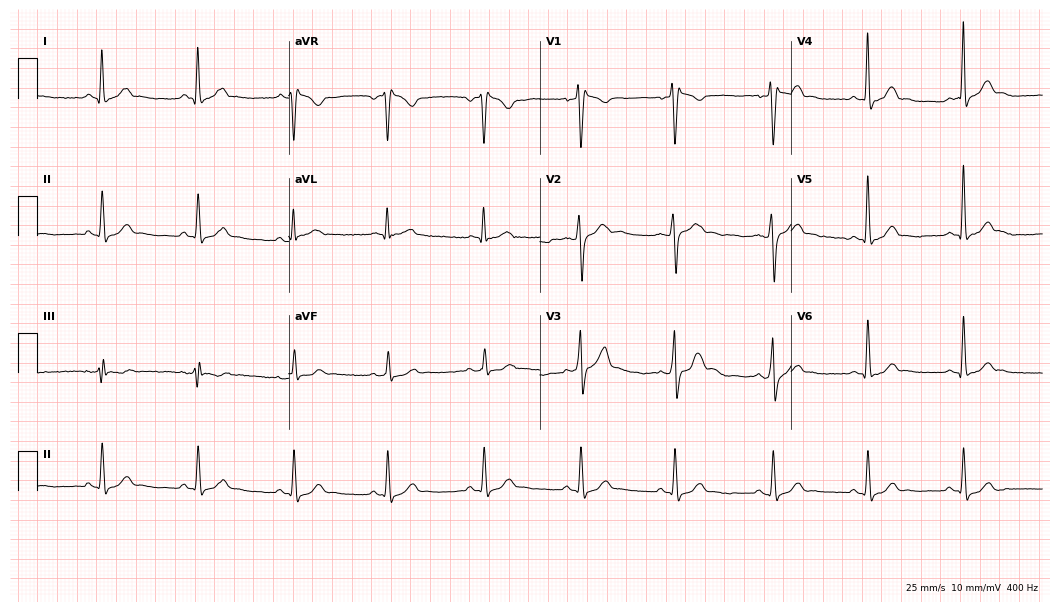
12-lead ECG from a 36-year-old man (10.2-second recording at 400 Hz). No first-degree AV block, right bundle branch block (RBBB), left bundle branch block (LBBB), sinus bradycardia, atrial fibrillation (AF) or sinus tachycardia recorded for this tracing.